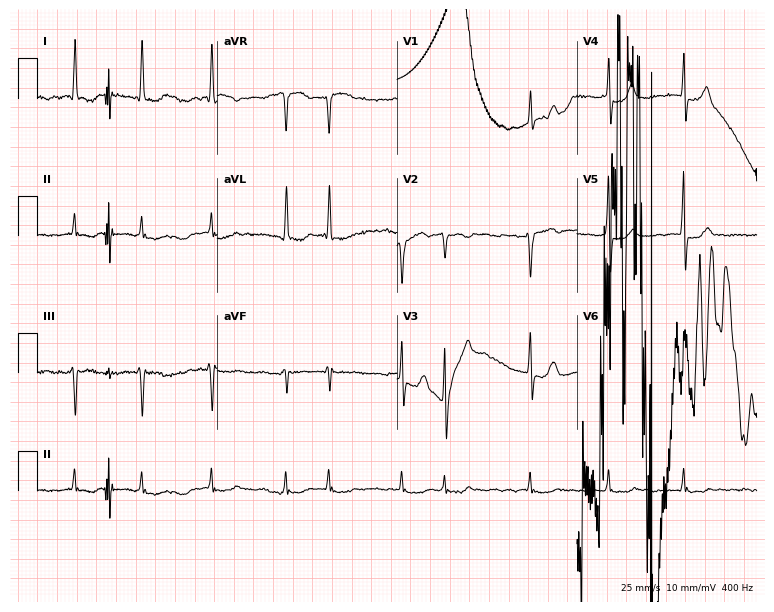
ECG (7.3-second recording at 400 Hz) — a female patient, 83 years old. Screened for six findings — first-degree AV block, right bundle branch block (RBBB), left bundle branch block (LBBB), sinus bradycardia, atrial fibrillation (AF), sinus tachycardia — none is recorded.